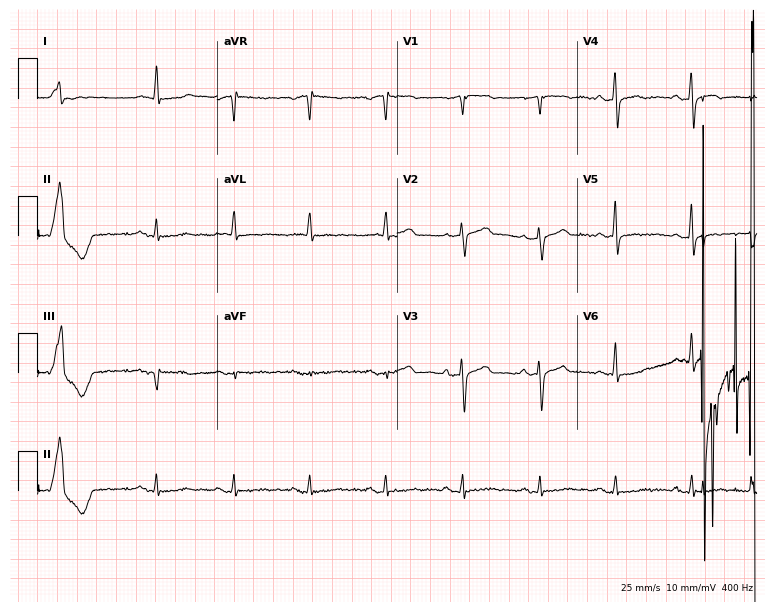
Resting 12-lead electrocardiogram. Patient: an 83-year-old man. None of these six findings is recorded: first-degree AV block, right bundle branch block, left bundle branch block, sinus bradycardia, atrial fibrillation, sinus tachycardia.